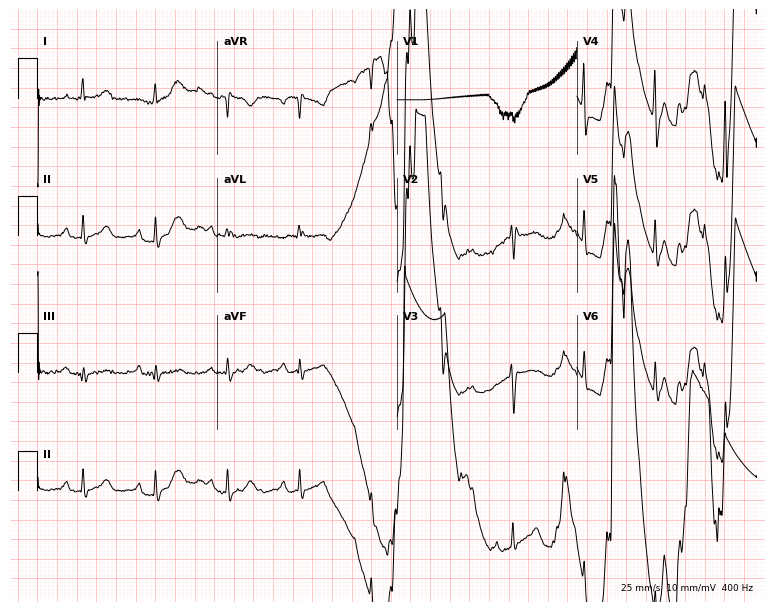
Resting 12-lead electrocardiogram (7.3-second recording at 400 Hz). Patient: a female, 50 years old. None of these six findings is recorded: first-degree AV block, right bundle branch block (RBBB), left bundle branch block (LBBB), sinus bradycardia, atrial fibrillation (AF), sinus tachycardia. Findings outside these six are not listed.